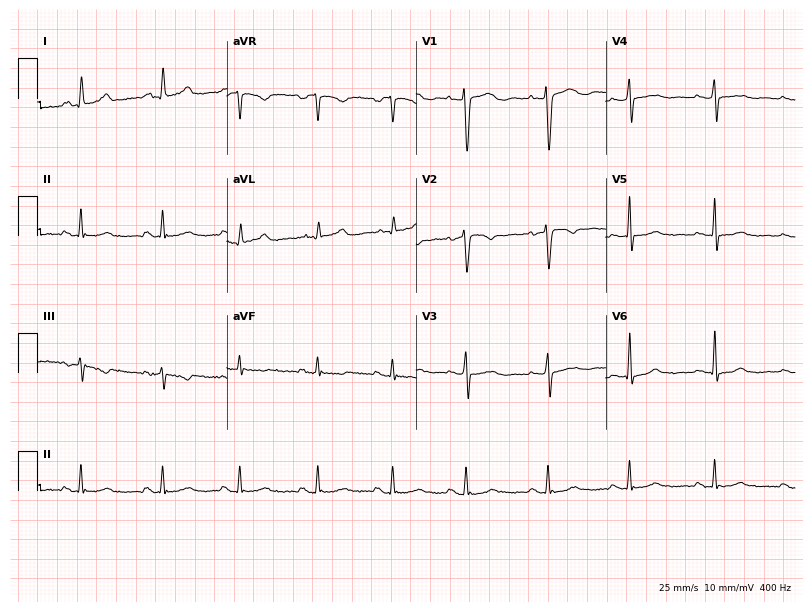
Standard 12-lead ECG recorded from a 45-year-old female (7.7-second recording at 400 Hz). None of these six findings is recorded: first-degree AV block, right bundle branch block, left bundle branch block, sinus bradycardia, atrial fibrillation, sinus tachycardia.